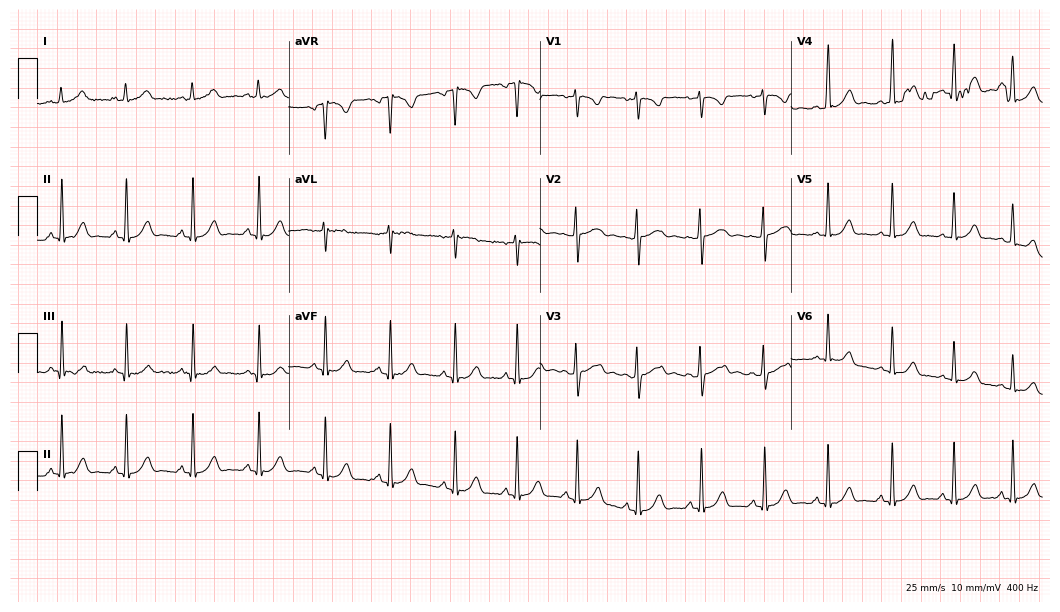
Electrocardiogram (10.2-second recording at 400 Hz), a woman, 20 years old. Of the six screened findings (first-degree AV block, right bundle branch block, left bundle branch block, sinus bradycardia, atrial fibrillation, sinus tachycardia), none is recorded.